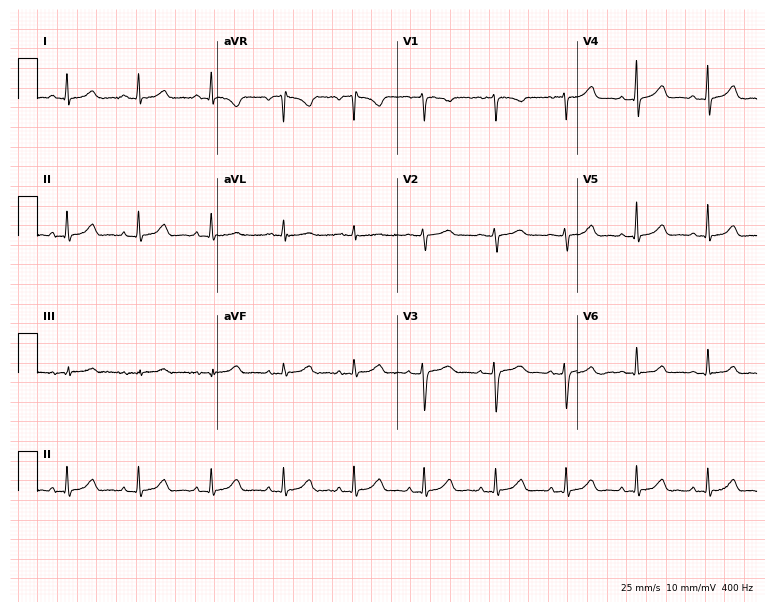
ECG (7.3-second recording at 400 Hz) — a 39-year-old female patient. Labelled as a normal ECG.